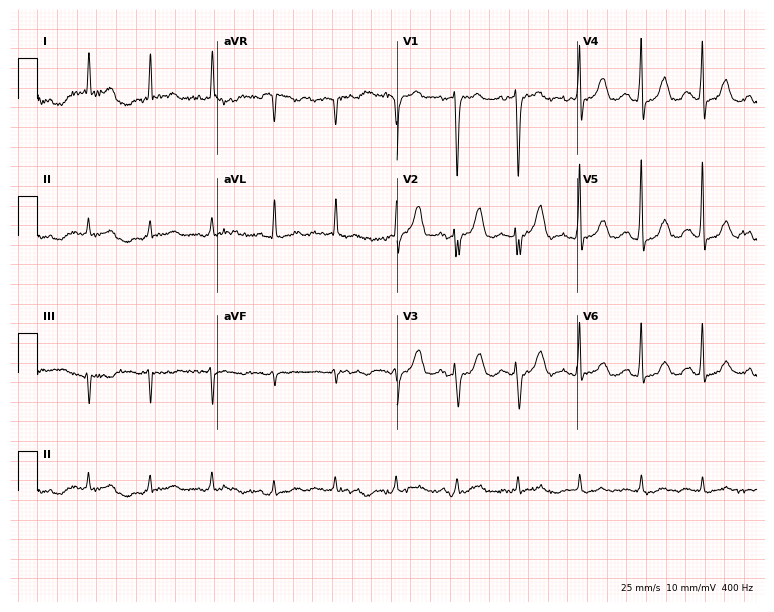
ECG — a woman, 83 years old. Labelled as a normal ECG.